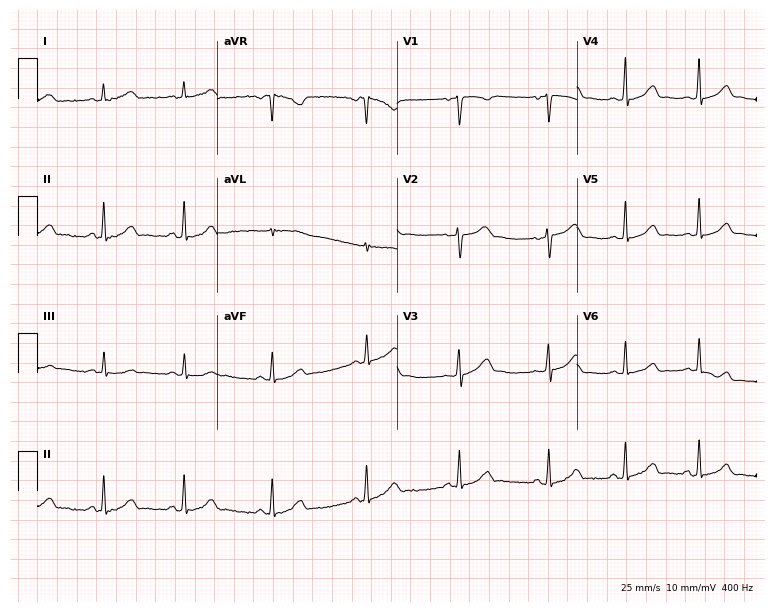
12-lead ECG from a 35-year-old woman. No first-degree AV block, right bundle branch block, left bundle branch block, sinus bradycardia, atrial fibrillation or sinus tachycardia recorded for this tracing. Other findings, if any, are not listed.